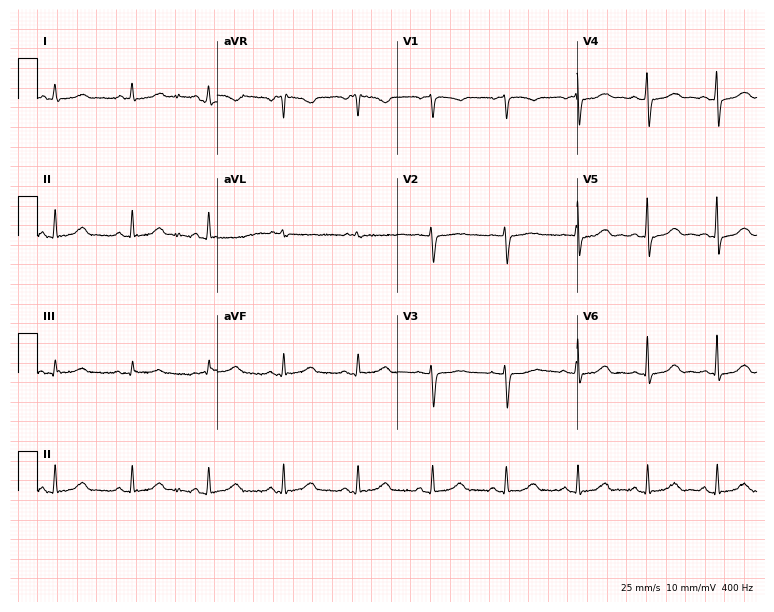
ECG (7.3-second recording at 400 Hz) — a female, 48 years old. Labelled as a normal ECG.